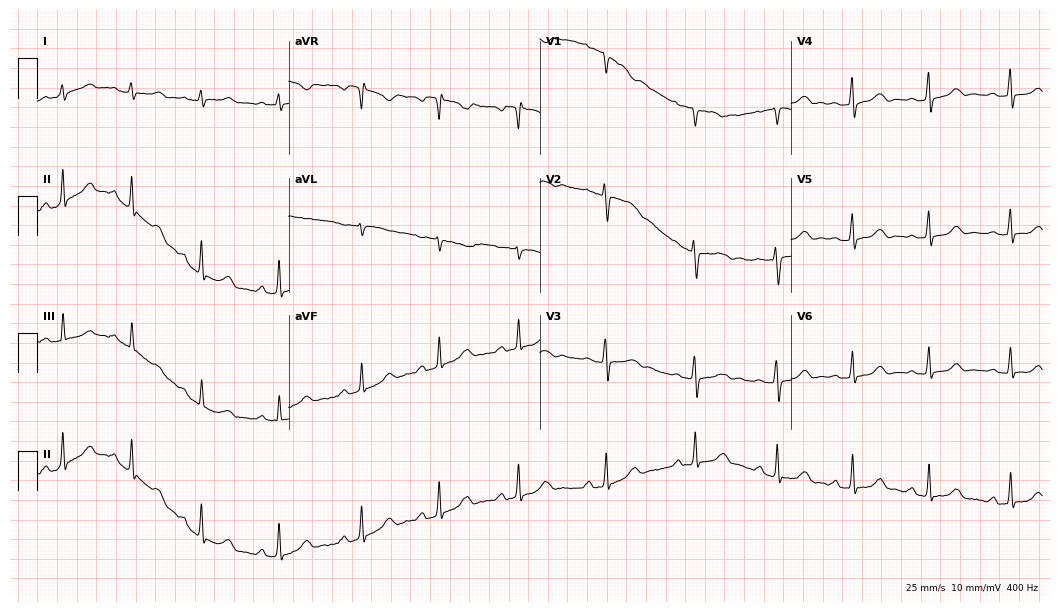
Standard 12-lead ECG recorded from a 32-year-old female patient. Read as a normal ECG.